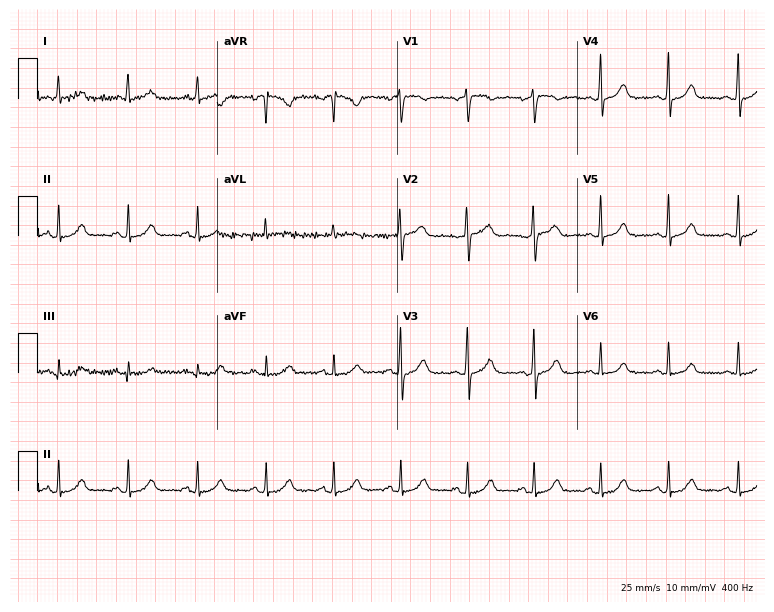
12-lead ECG (7.3-second recording at 400 Hz) from a 41-year-old woman. Screened for six findings — first-degree AV block, right bundle branch block, left bundle branch block, sinus bradycardia, atrial fibrillation, sinus tachycardia — none is recorded. Only these six findings were labelled.